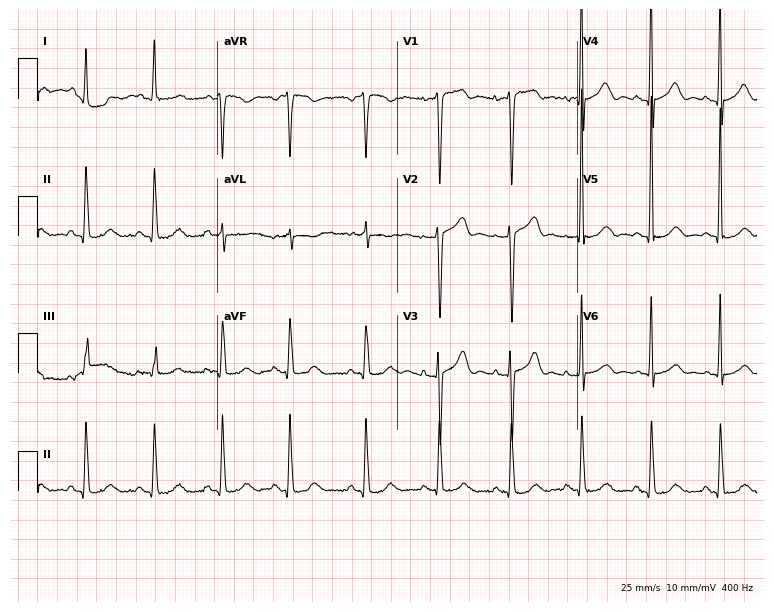
12-lead ECG from a female patient, 77 years old (7.3-second recording at 400 Hz). No first-degree AV block, right bundle branch block, left bundle branch block, sinus bradycardia, atrial fibrillation or sinus tachycardia recorded for this tracing.